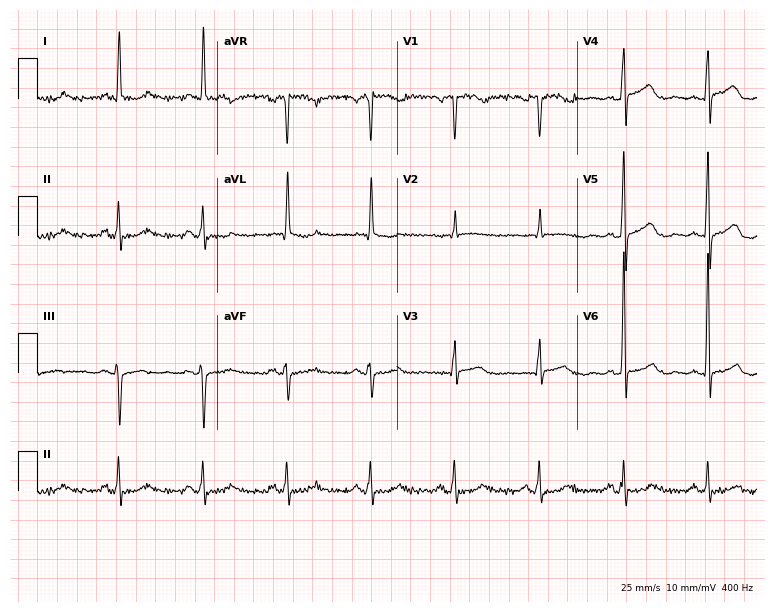
Standard 12-lead ECG recorded from a 52-year-old female patient (7.3-second recording at 400 Hz). Read as a normal ECG.